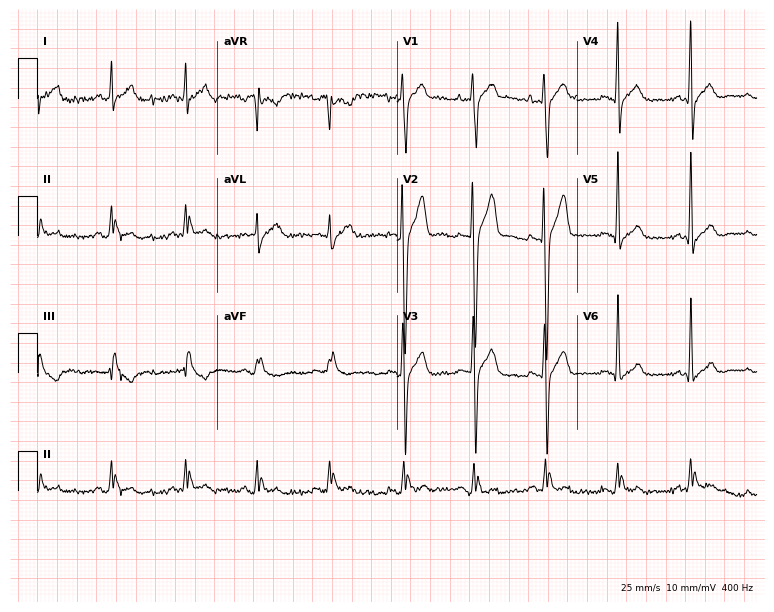
12-lead ECG from a male, 24 years old. Screened for six findings — first-degree AV block, right bundle branch block, left bundle branch block, sinus bradycardia, atrial fibrillation, sinus tachycardia — none is recorded.